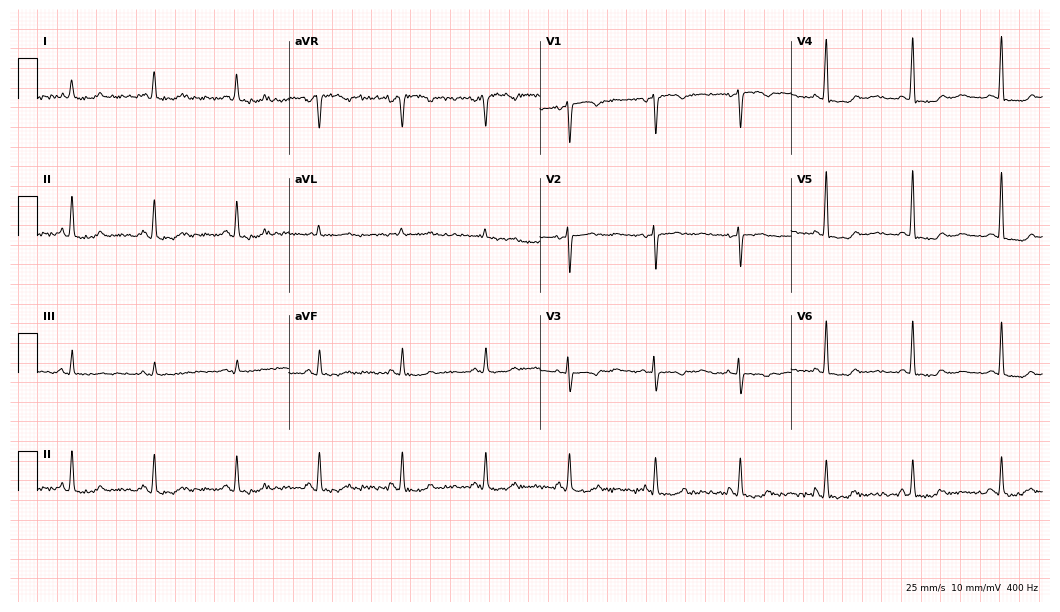
Electrocardiogram, a 54-year-old female. Of the six screened findings (first-degree AV block, right bundle branch block, left bundle branch block, sinus bradycardia, atrial fibrillation, sinus tachycardia), none is recorded. Findings outside these six are not listed.